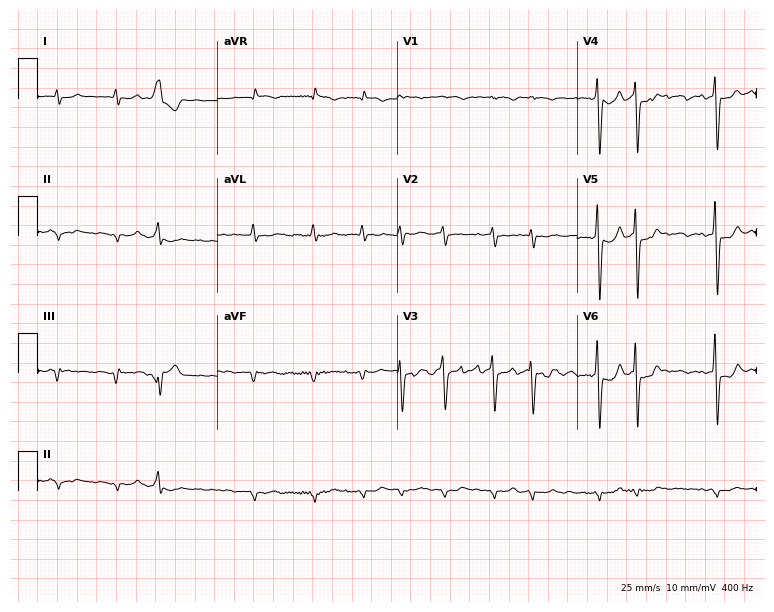
Resting 12-lead electrocardiogram (7.3-second recording at 400 Hz). Patient: a man, 80 years old. The tracing shows atrial fibrillation.